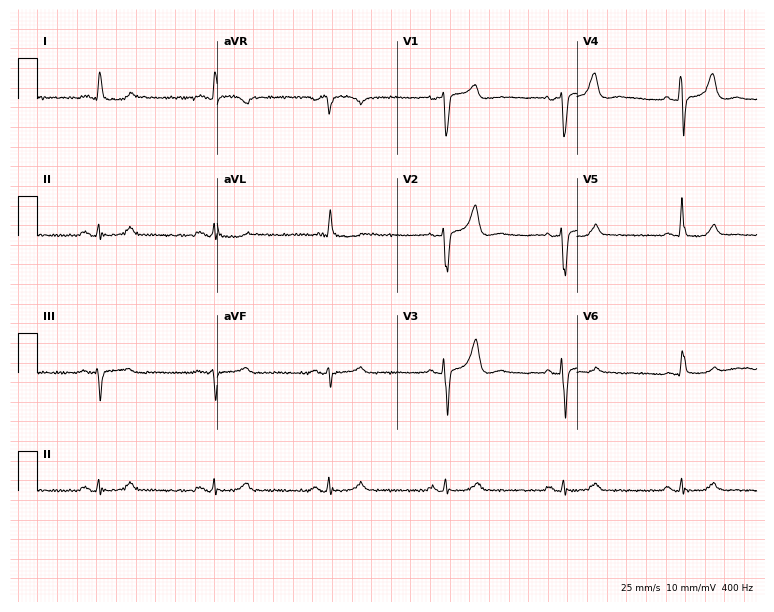
12-lead ECG from a male patient, 73 years old. No first-degree AV block, right bundle branch block, left bundle branch block, sinus bradycardia, atrial fibrillation or sinus tachycardia recorded for this tracing.